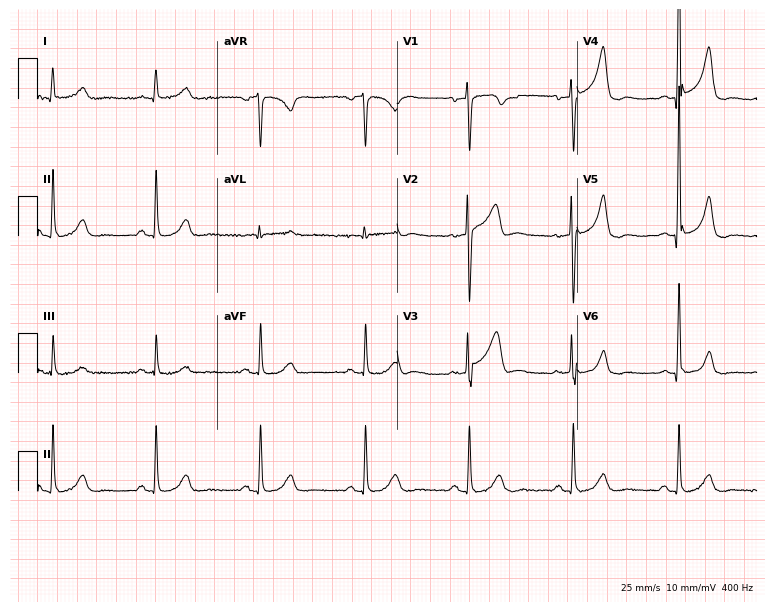
Standard 12-lead ECG recorded from a male patient, 64 years old (7.3-second recording at 400 Hz). None of these six findings is recorded: first-degree AV block, right bundle branch block, left bundle branch block, sinus bradycardia, atrial fibrillation, sinus tachycardia. Only these six findings were labelled.